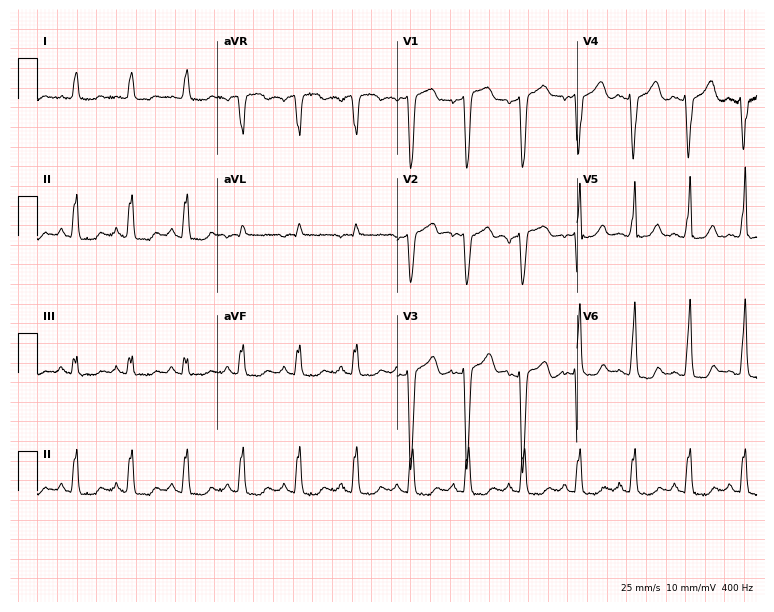
Resting 12-lead electrocardiogram (7.3-second recording at 400 Hz). Patient: a 51-year-old woman. The tracing shows sinus tachycardia (a sinus rate of 100 beats per minute or more).